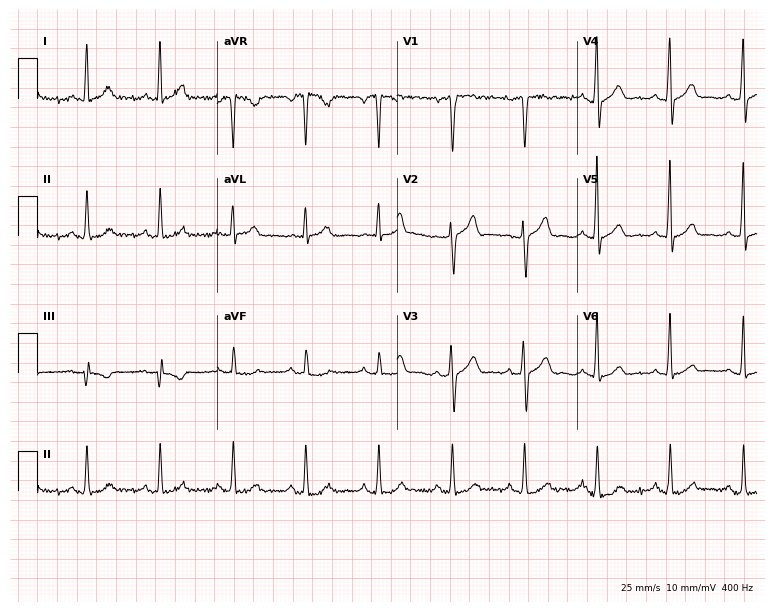
Electrocardiogram (7.3-second recording at 400 Hz), a 48-year-old man. Overall reading on record: normal ECG.